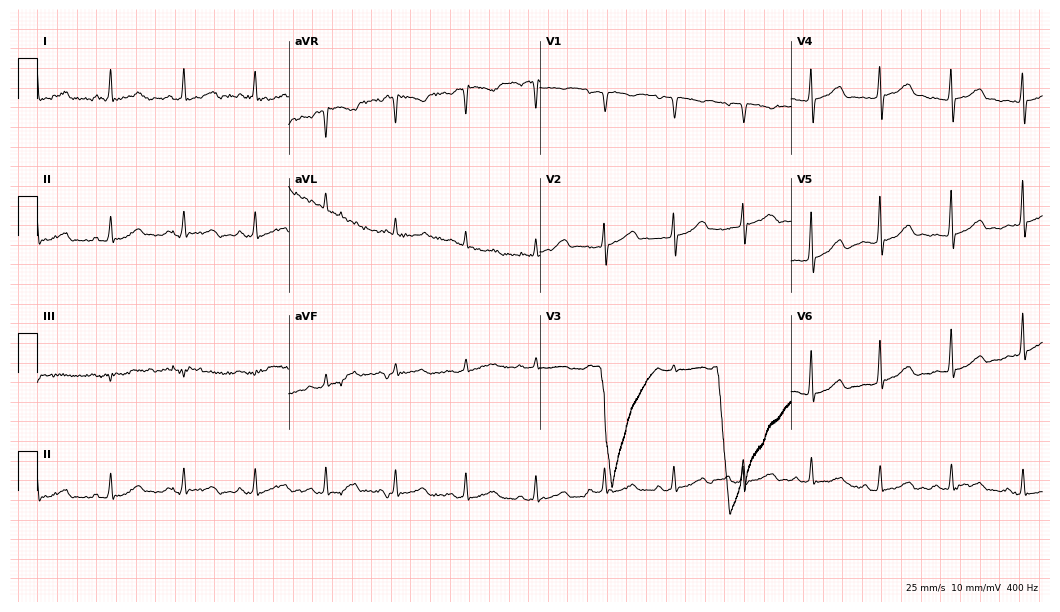
12-lead ECG from a female patient, 40 years old. Screened for six findings — first-degree AV block, right bundle branch block (RBBB), left bundle branch block (LBBB), sinus bradycardia, atrial fibrillation (AF), sinus tachycardia — none is recorded. Findings outside these six are not listed.